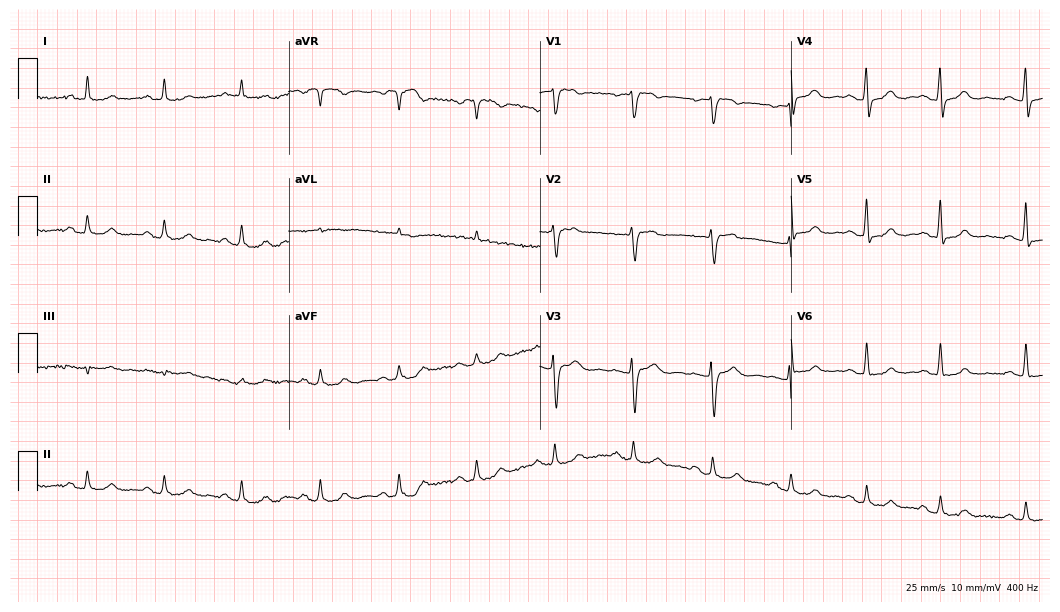
12-lead ECG (10.2-second recording at 400 Hz) from a female patient, 71 years old. Labelled as a normal ECG.